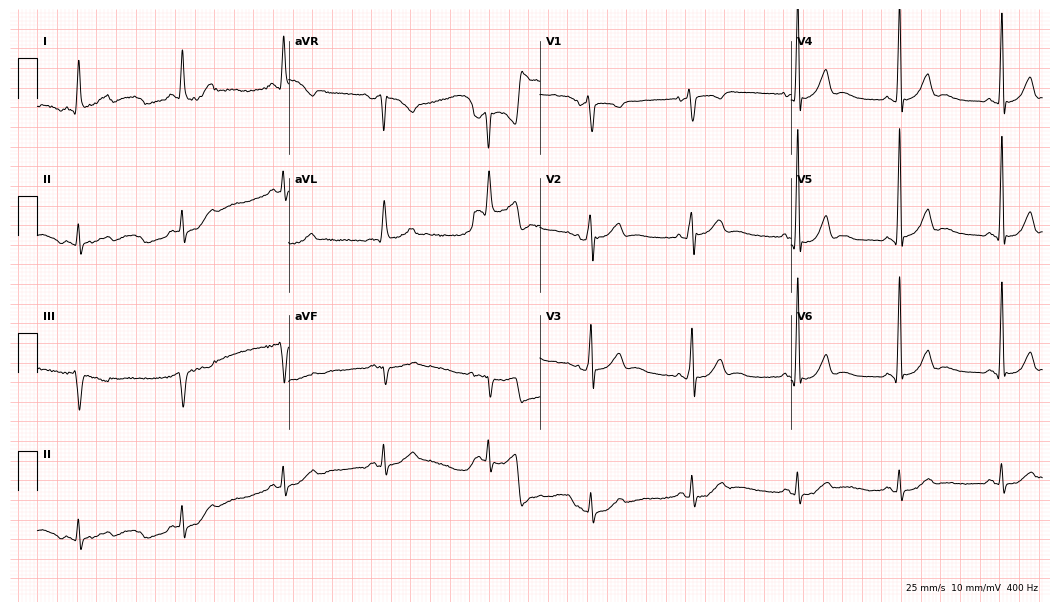
Standard 12-lead ECG recorded from a 62-year-old female patient. None of these six findings is recorded: first-degree AV block, right bundle branch block, left bundle branch block, sinus bradycardia, atrial fibrillation, sinus tachycardia.